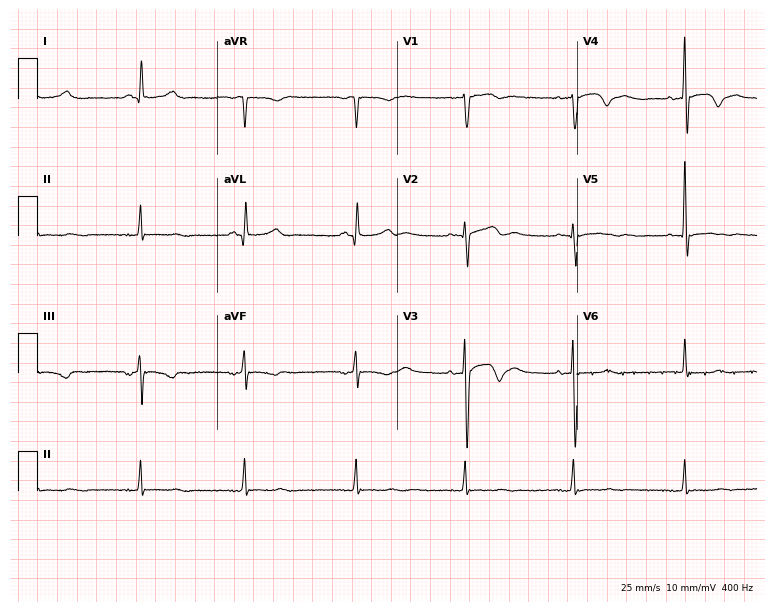
12-lead ECG from a female, 50 years old. Screened for six findings — first-degree AV block, right bundle branch block, left bundle branch block, sinus bradycardia, atrial fibrillation, sinus tachycardia — none is recorded. Other findings, if any, are not listed.